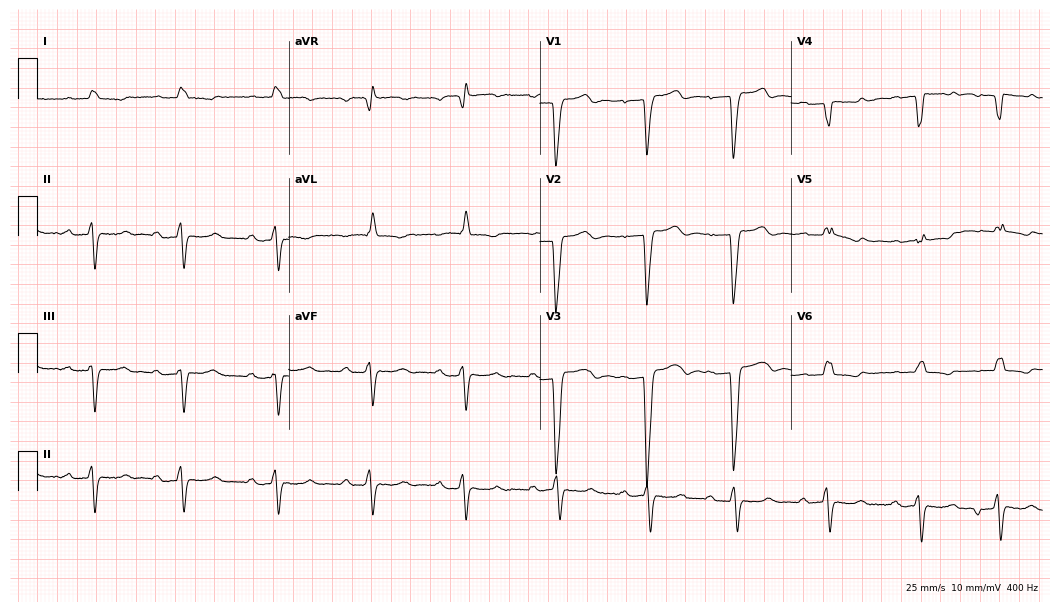
ECG (10.2-second recording at 400 Hz) — an 84-year-old woman. Screened for six findings — first-degree AV block, right bundle branch block, left bundle branch block, sinus bradycardia, atrial fibrillation, sinus tachycardia — none is recorded.